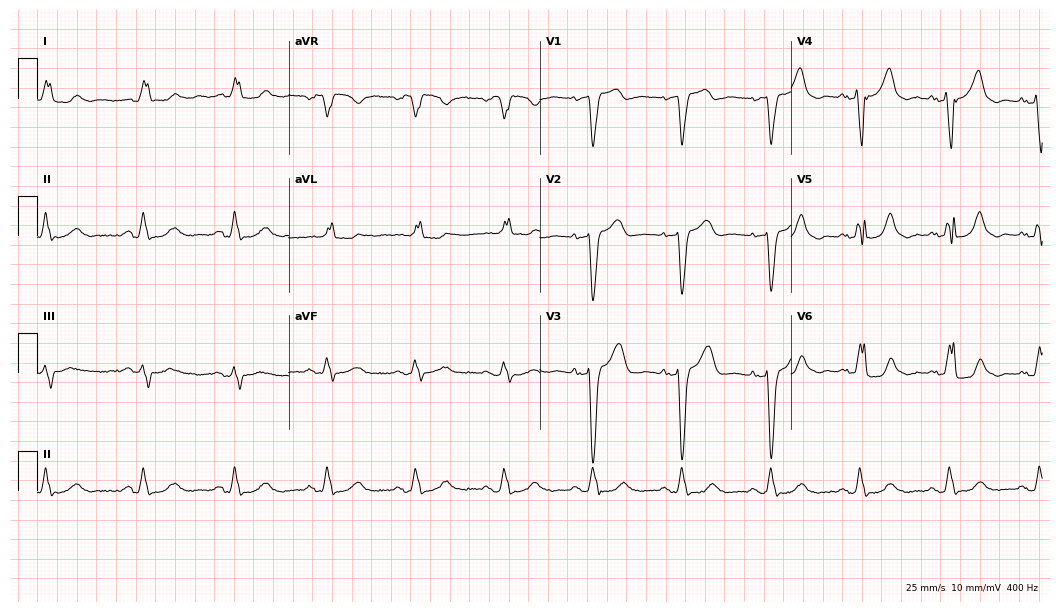
12-lead ECG from an 85-year-old woman (10.2-second recording at 400 Hz). Shows left bundle branch block (LBBB).